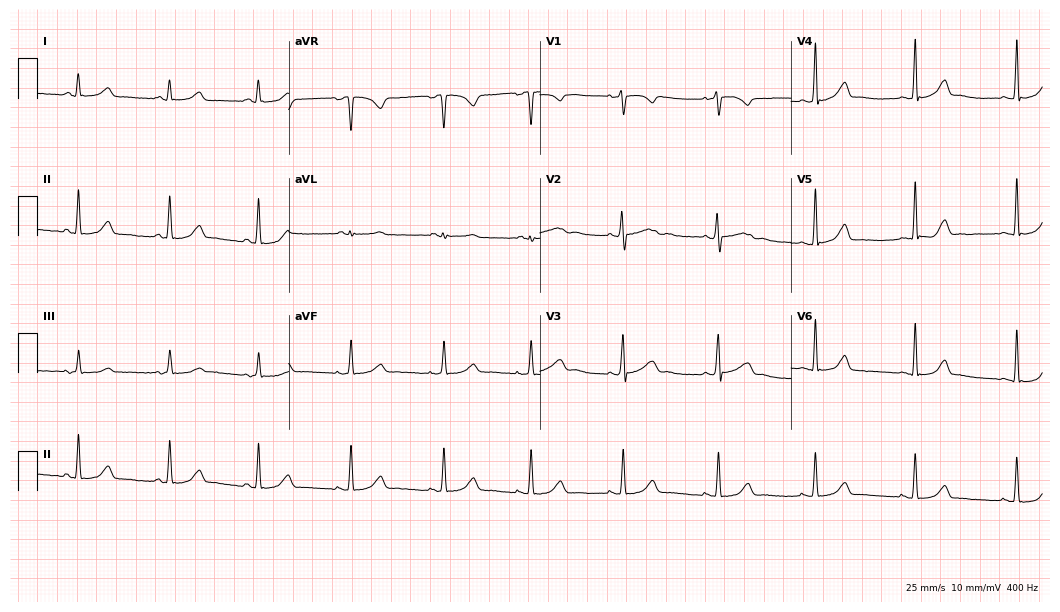
Resting 12-lead electrocardiogram (10.2-second recording at 400 Hz). Patient: a female, 35 years old. Read as a normal ECG.